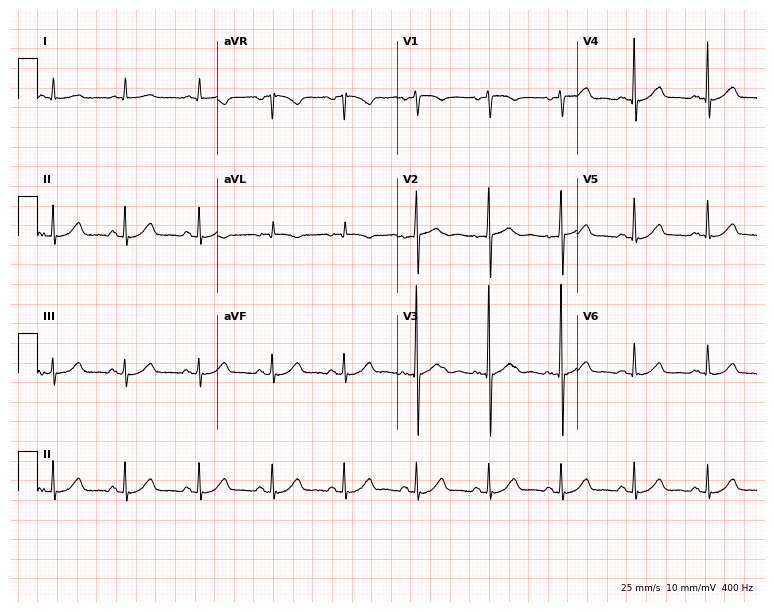
12-lead ECG (7.3-second recording at 400 Hz) from a 69-year-old female patient. Screened for six findings — first-degree AV block, right bundle branch block, left bundle branch block, sinus bradycardia, atrial fibrillation, sinus tachycardia — none is recorded. Only these six findings were labelled.